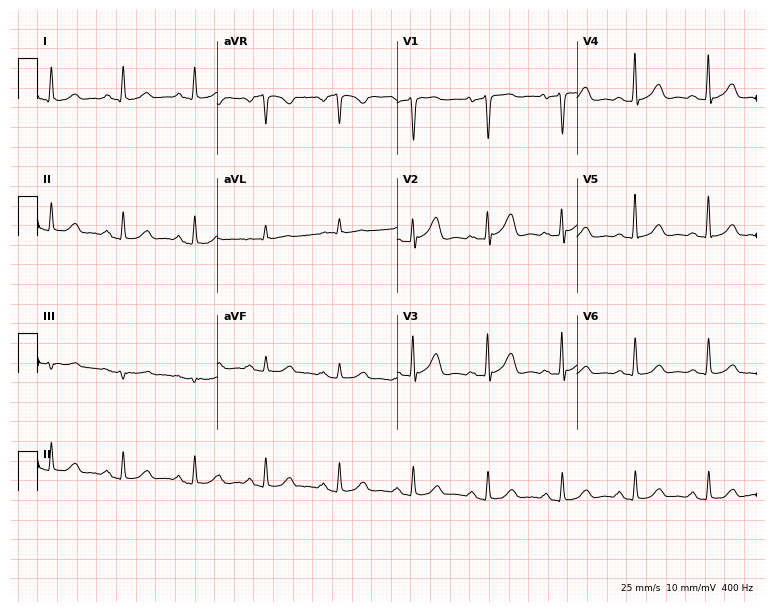
Resting 12-lead electrocardiogram (7.3-second recording at 400 Hz). Patient: a female, 52 years old. None of these six findings is recorded: first-degree AV block, right bundle branch block, left bundle branch block, sinus bradycardia, atrial fibrillation, sinus tachycardia. Only these six findings were labelled.